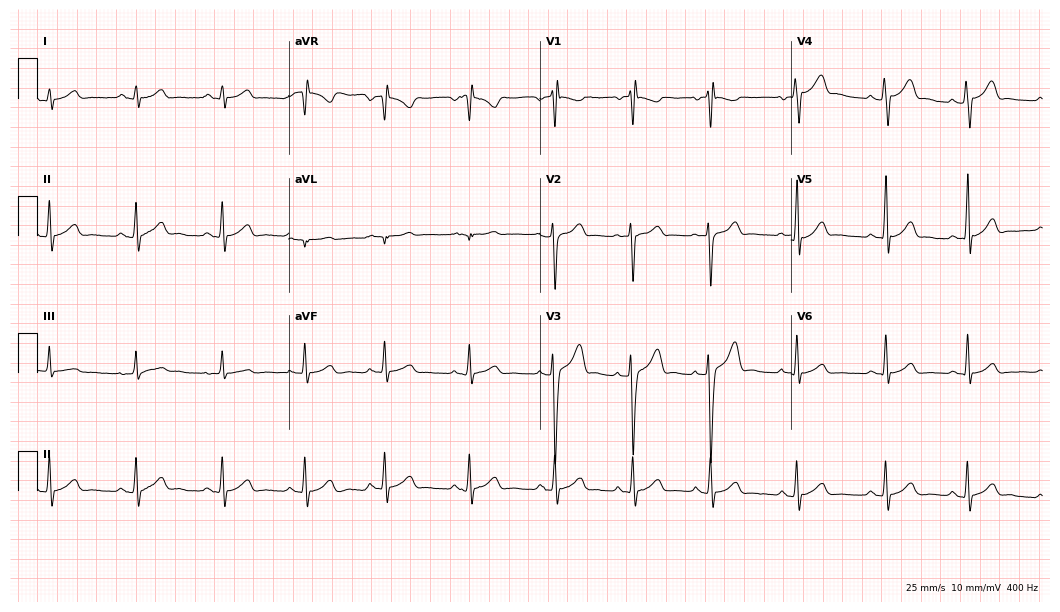
ECG — a man, 17 years old. Labelled as a normal ECG.